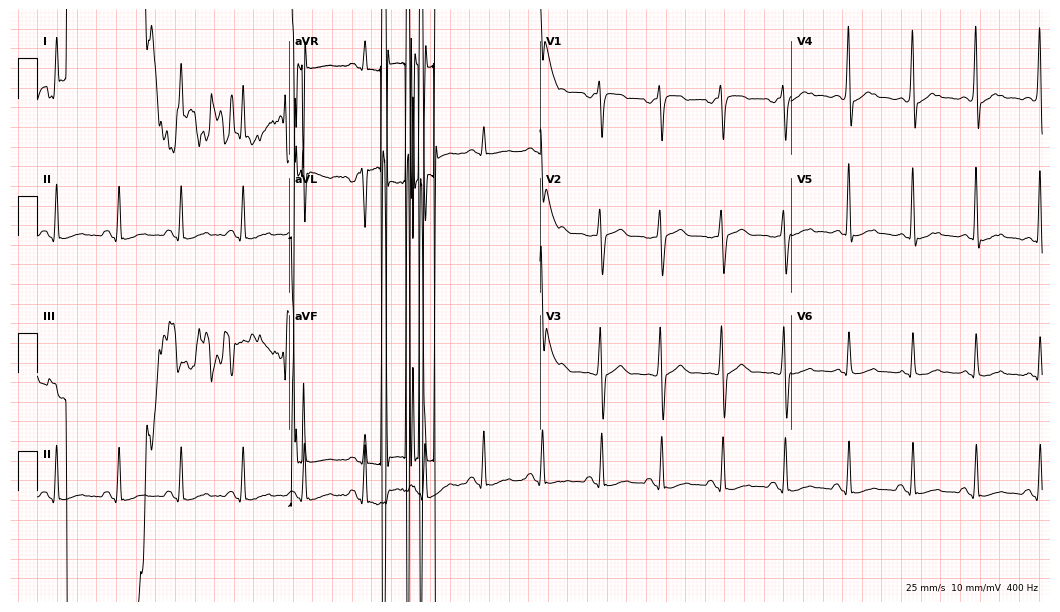
12-lead ECG from a 54-year-old male patient. No first-degree AV block, right bundle branch block, left bundle branch block, sinus bradycardia, atrial fibrillation or sinus tachycardia recorded for this tracing. Findings outside these six are not listed.